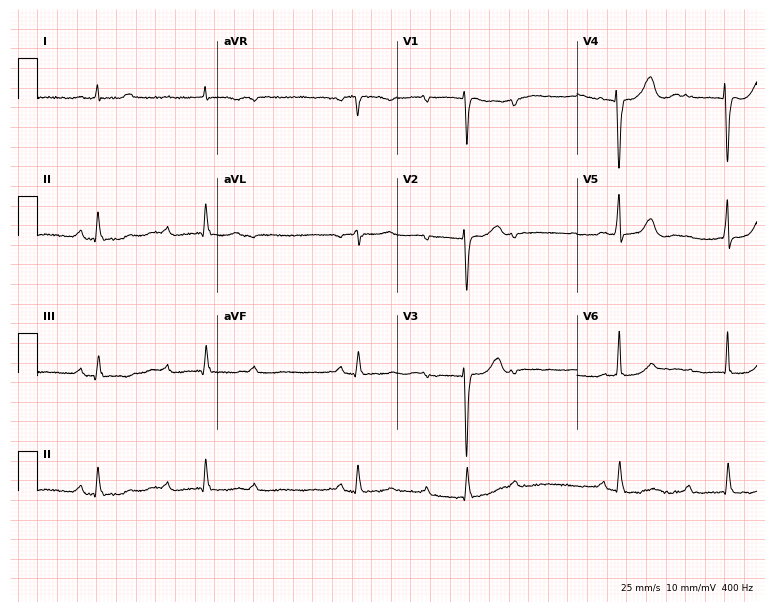
12-lead ECG (7.3-second recording at 400 Hz) from a female, 53 years old. Screened for six findings — first-degree AV block, right bundle branch block, left bundle branch block, sinus bradycardia, atrial fibrillation, sinus tachycardia — none is recorded.